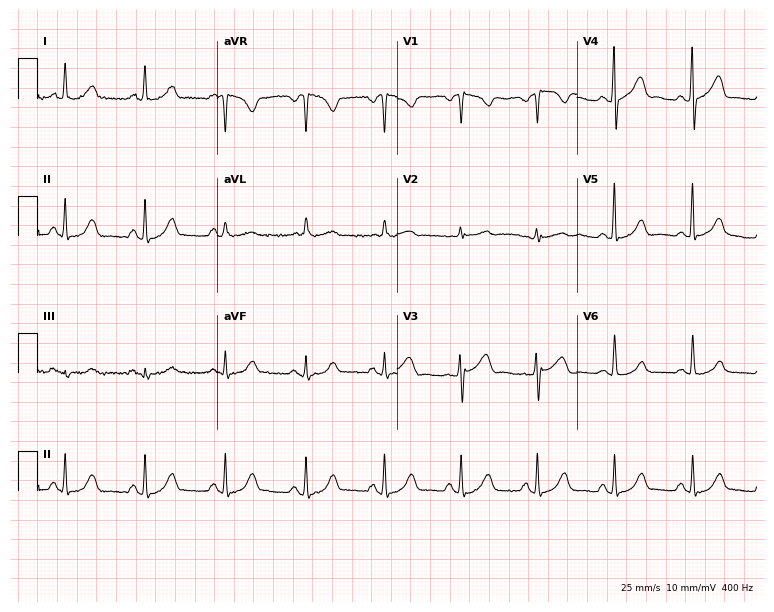
12-lead ECG from a woman, 59 years old. Labelled as a normal ECG.